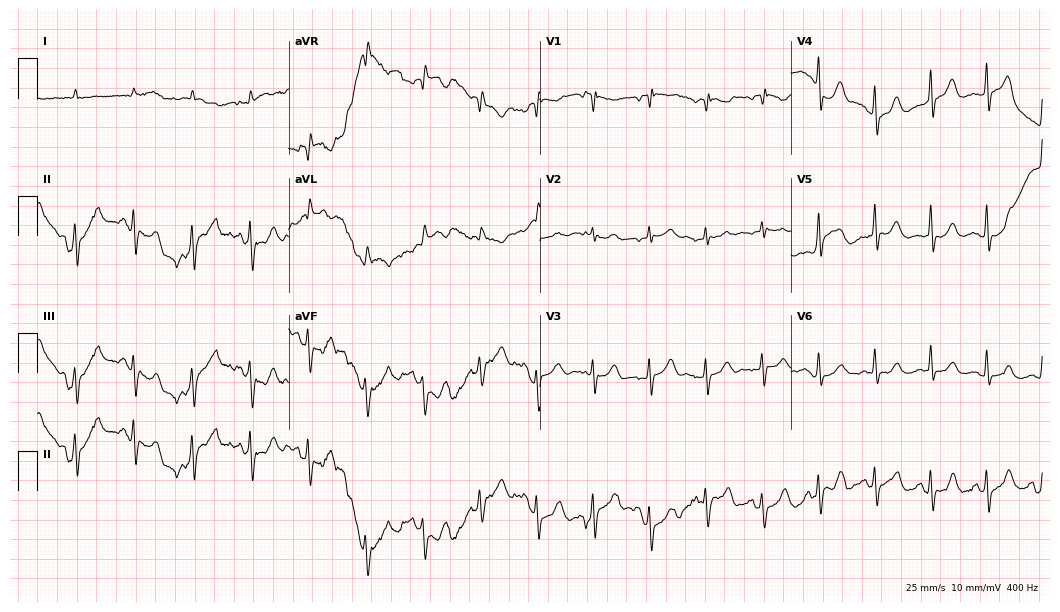
Standard 12-lead ECG recorded from an 80-year-old female. None of these six findings is recorded: first-degree AV block, right bundle branch block, left bundle branch block, sinus bradycardia, atrial fibrillation, sinus tachycardia. Other findings, if any, are not listed.